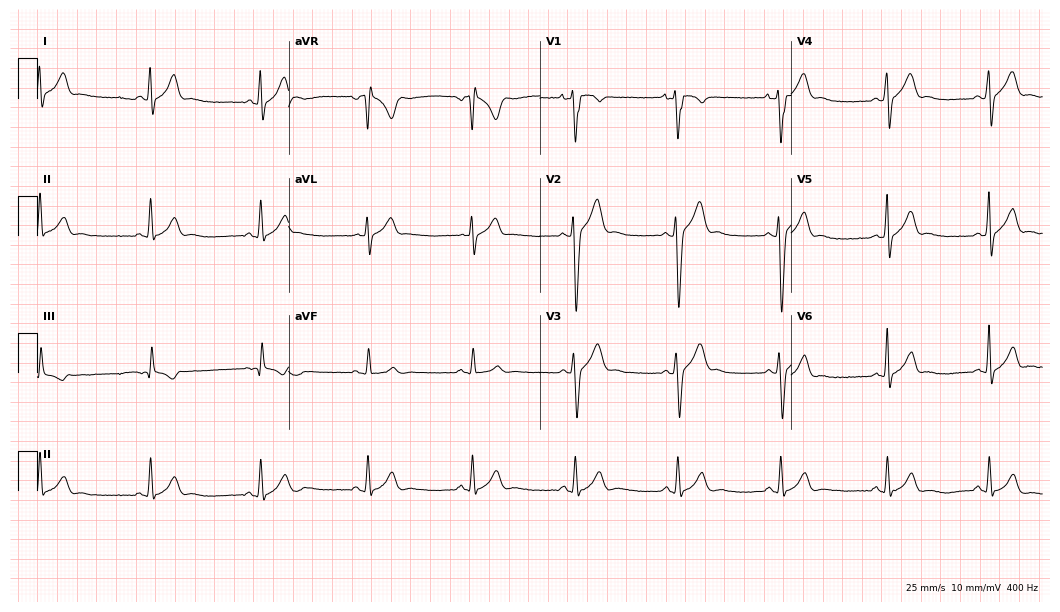
ECG — a 17-year-old male. Labelled as a normal ECG.